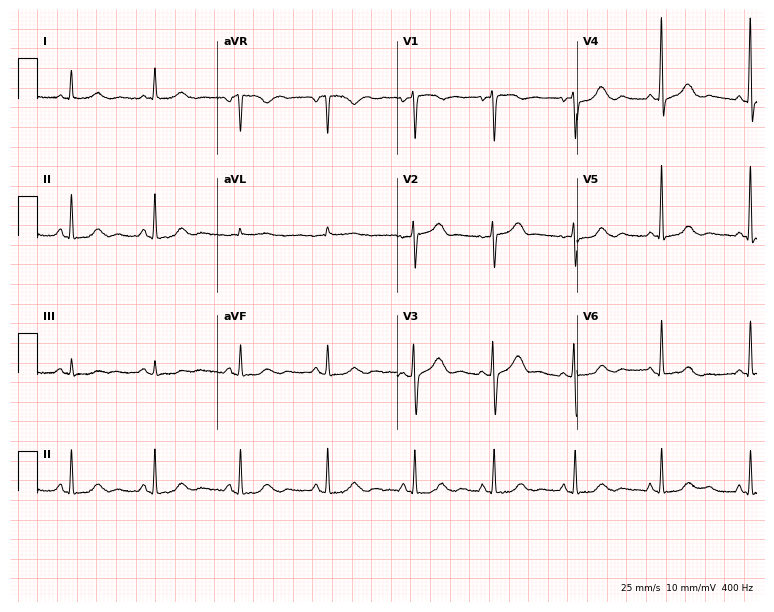
ECG (7.3-second recording at 400 Hz) — a 54-year-old woman. Labelled as a normal ECG.